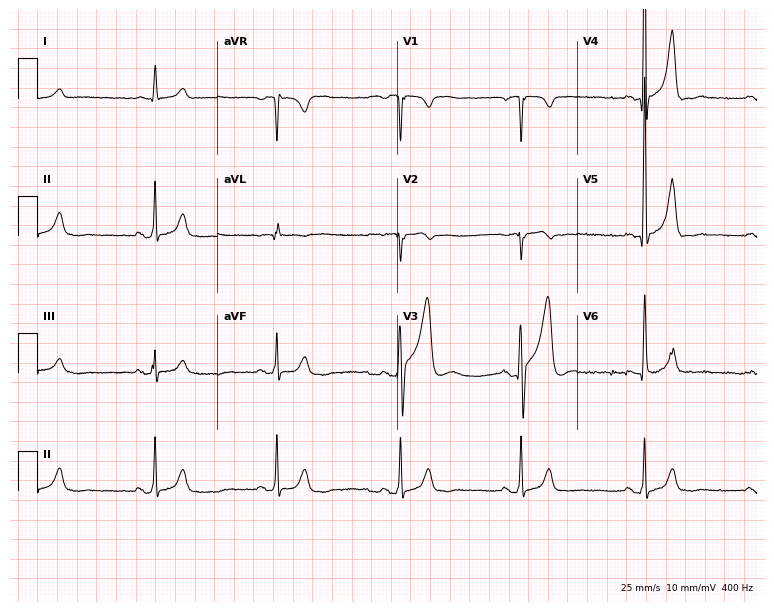
ECG (7.3-second recording at 400 Hz) — a male patient, 81 years old. Findings include sinus bradycardia (a sinus rate of 50 beats per minute or less).